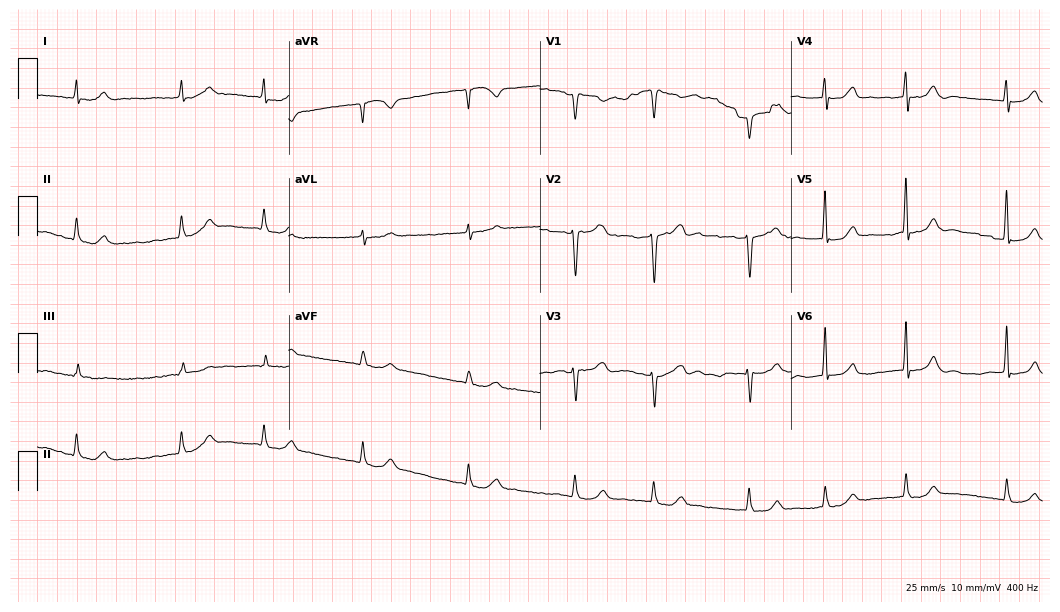
12-lead ECG from an 85-year-old male. Findings include atrial fibrillation (AF).